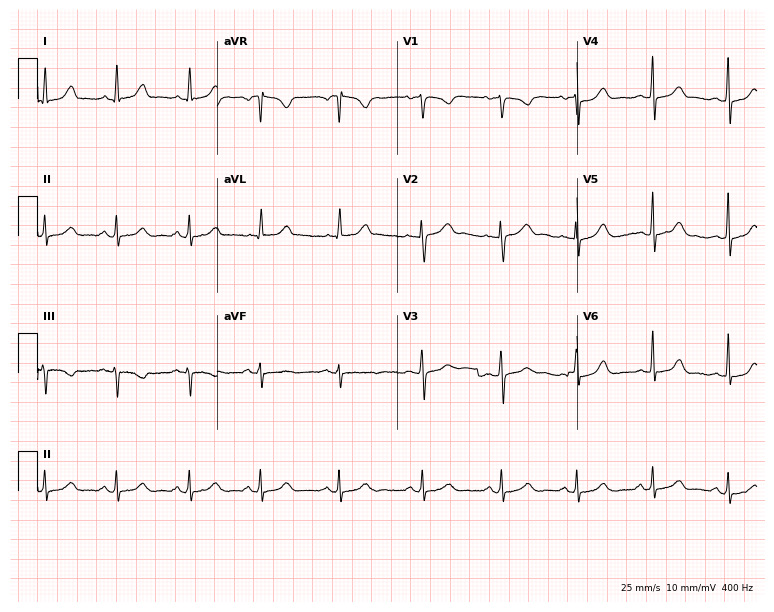
Standard 12-lead ECG recorded from a female, 34 years old (7.3-second recording at 400 Hz). Read as a normal ECG.